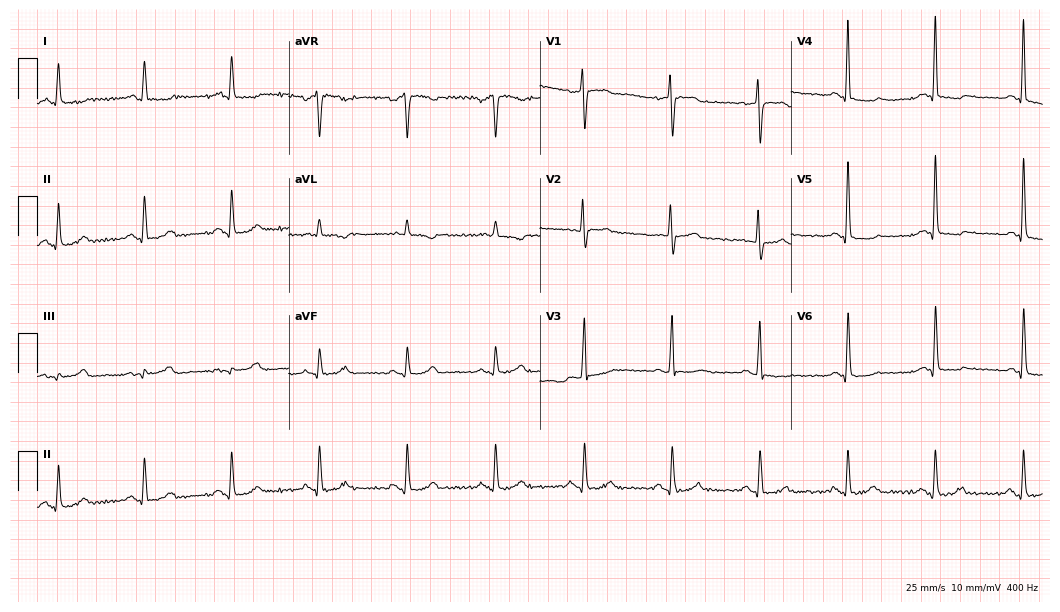
Electrocardiogram, a female, 60 years old. Of the six screened findings (first-degree AV block, right bundle branch block (RBBB), left bundle branch block (LBBB), sinus bradycardia, atrial fibrillation (AF), sinus tachycardia), none is recorded. Findings outside these six are not listed.